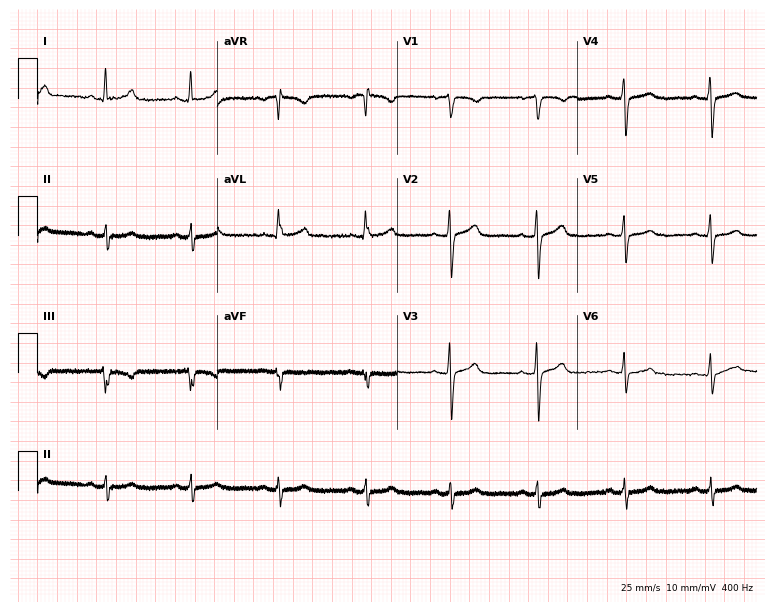
ECG (7.3-second recording at 400 Hz) — a 71-year-old woman. Screened for six findings — first-degree AV block, right bundle branch block (RBBB), left bundle branch block (LBBB), sinus bradycardia, atrial fibrillation (AF), sinus tachycardia — none is recorded. Findings outside these six are not listed.